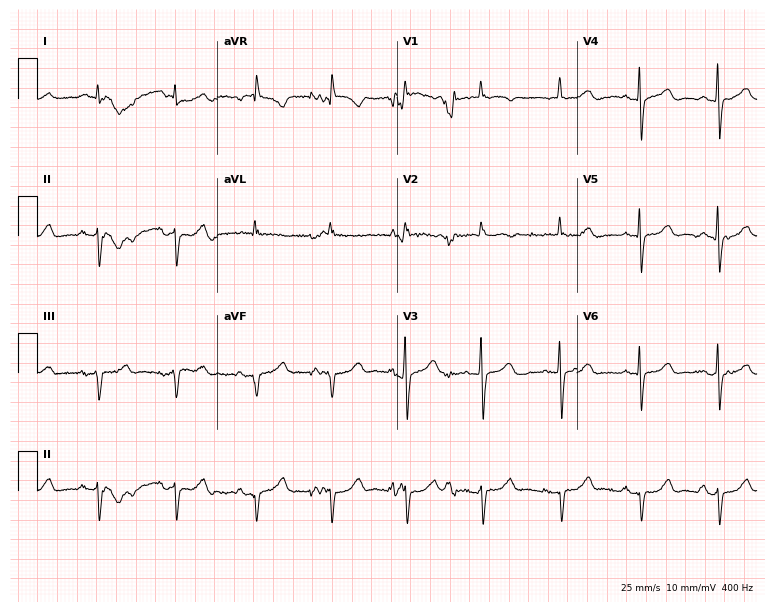
Electrocardiogram, a woman, 76 years old. Of the six screened findings (first-degree AV block, right bundle branch block (RBBB), left bundle branch block (LBBB), sinus bradycardia, atrial fibrillation (AF), sinus tachycardia), none is recorded. Findings outside these six are not listed.